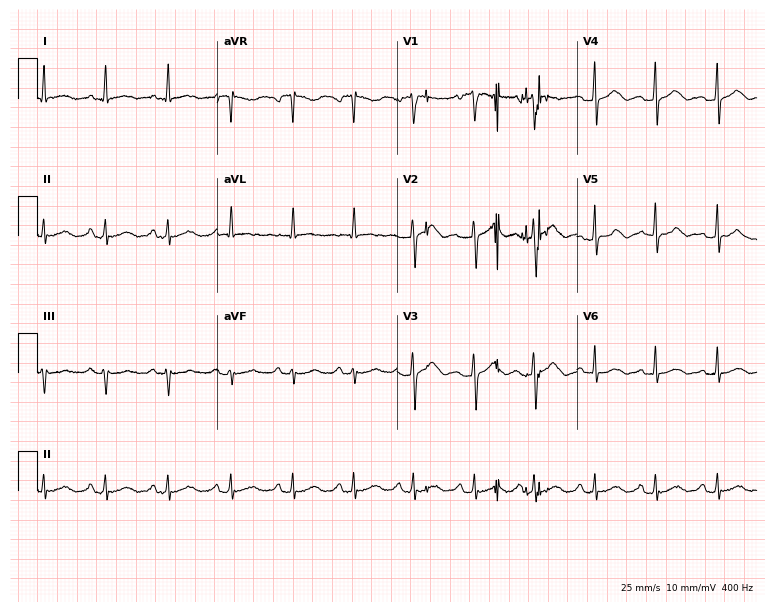
ECG (7.3-second recording at 400 Hz) — a 49-year-old woman. Labelled as a normal ECG.